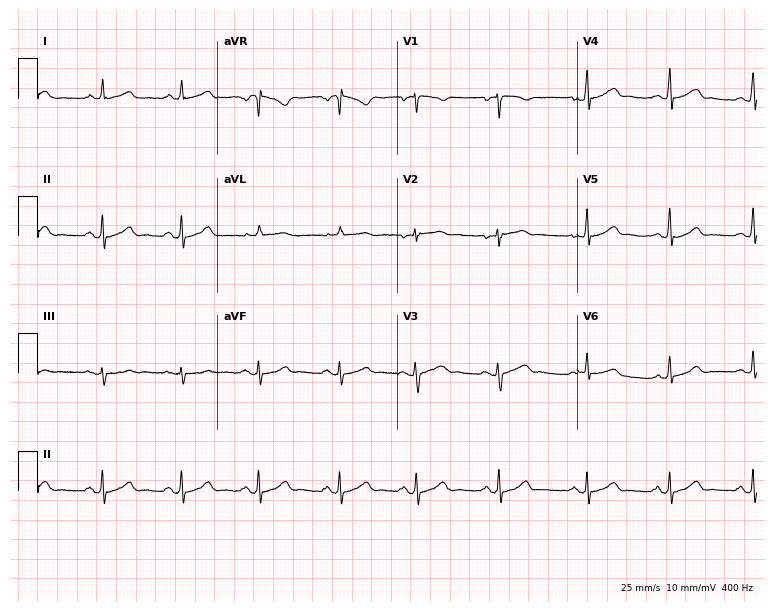
Resting 12-lead electrocardiogram. Patient: a 21-year-old woman. Read as a normal ECG.